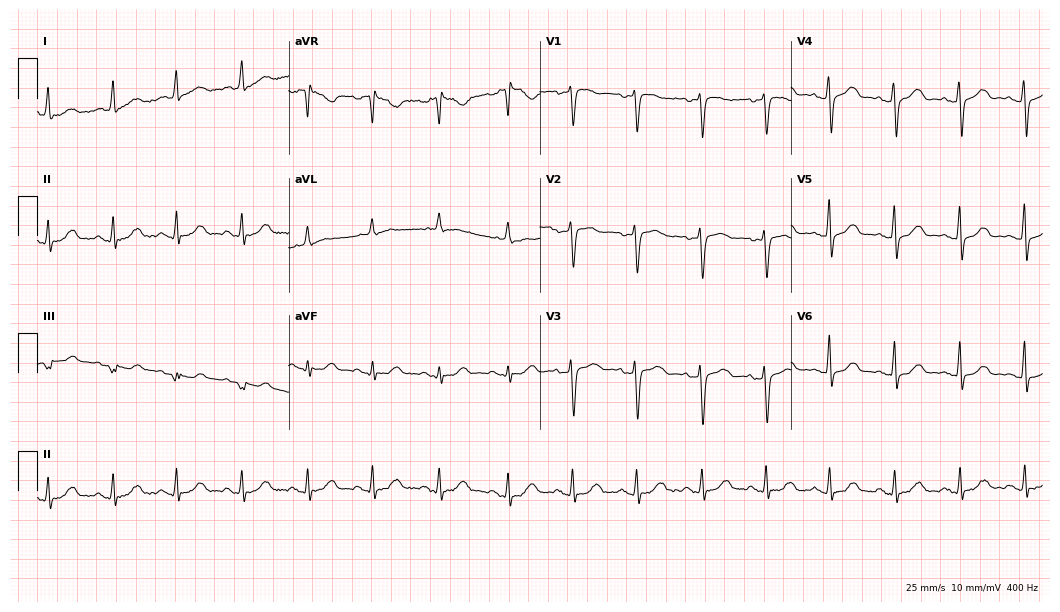
Standard 12-lead ECG recorded from a female patient, 49 years old. Read as a normal ECG.